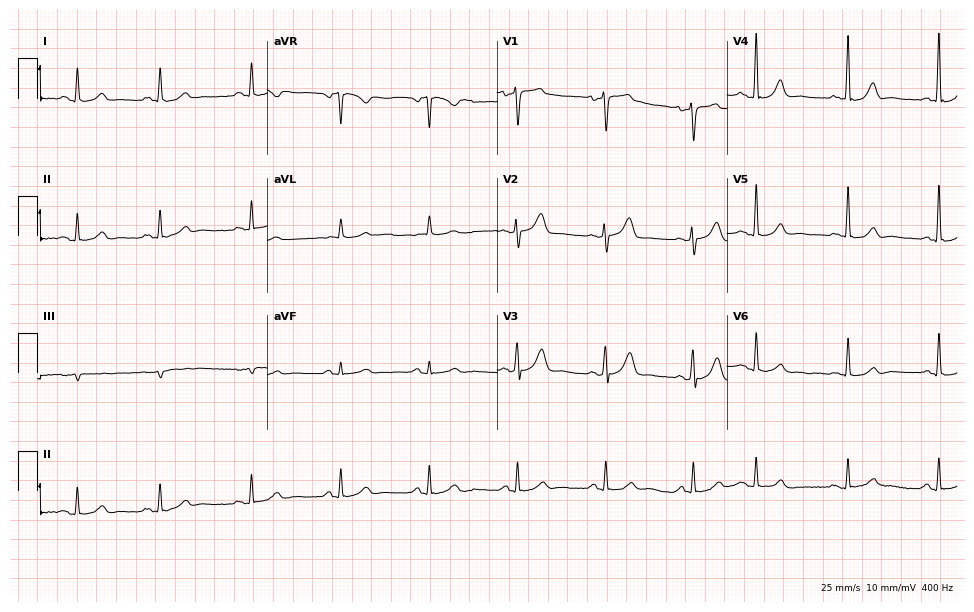
12-lead ECG from a male patient, 65 years old (9.4-second recording at 400 Hz). Recorded interpretation: within normal limits.